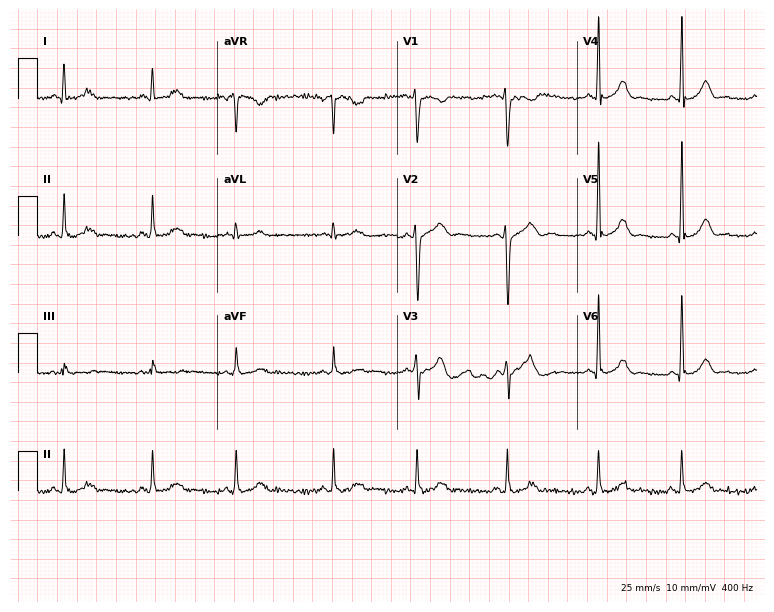
Standard 12-lead ECG recorded from a 30-year-old female. Read as a normal ECG.